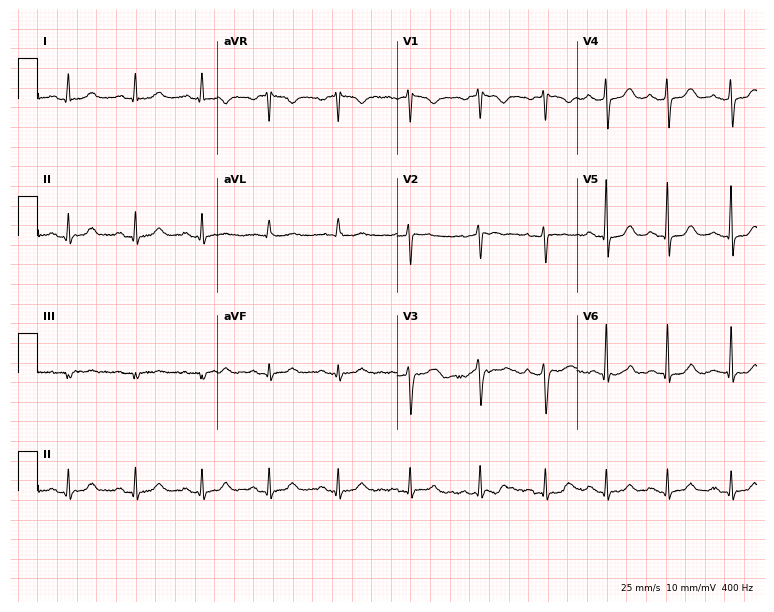
Standard 12-lead ECG recorded from a 49-year-old female patient. Read as a normal ECG.